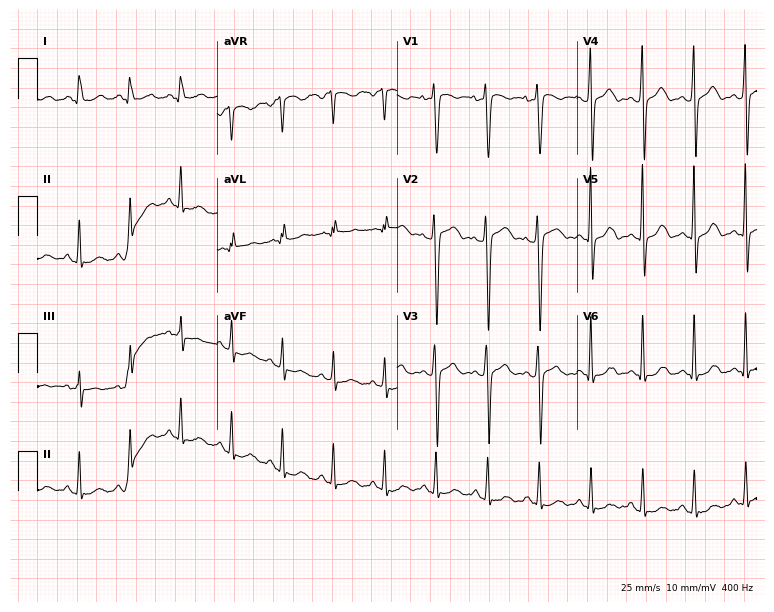
ECG (7.3-second recording at 400 Hz) — a female, 42 years old. Findings include sinus tachycardia (a sinus rate of 100 beats per minute or more).